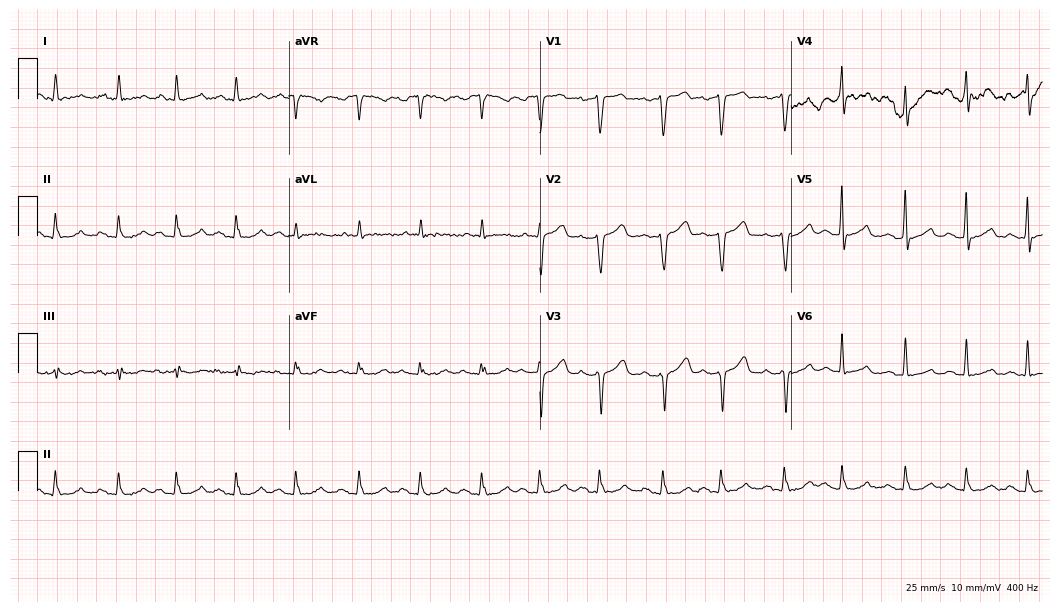
ECG (10.2-second recording at 400 Hz) — a 64-year-old male patient. Labelled as a normal ECG.